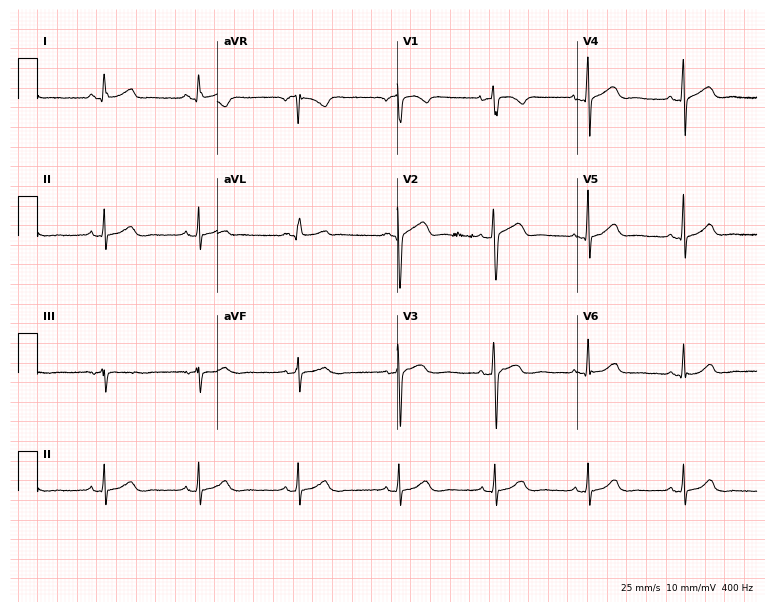
12-lead ECG from a woman, 57 years old. Recorded interpretation: within normal limits.